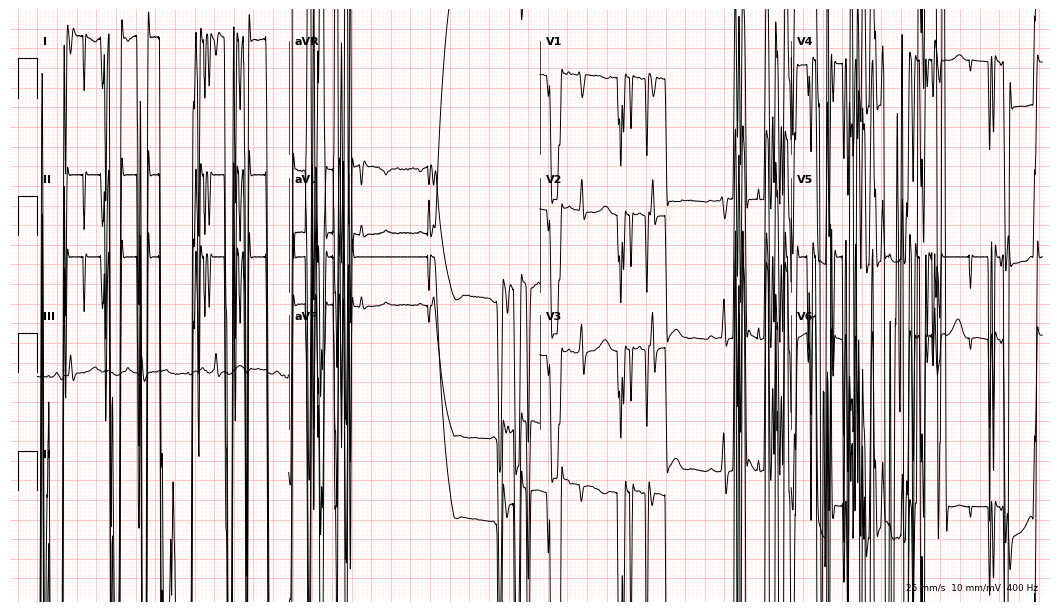
Standard 12-lead ECG recorded from a 34-year-old woman (10.2-second recording at 400 Hz). None of these six findings is recorded: first-degree AV block, right bundle branch block, left bundle branch block, sinus bradycardia, atrial fibrillation, sinus tachycardia.